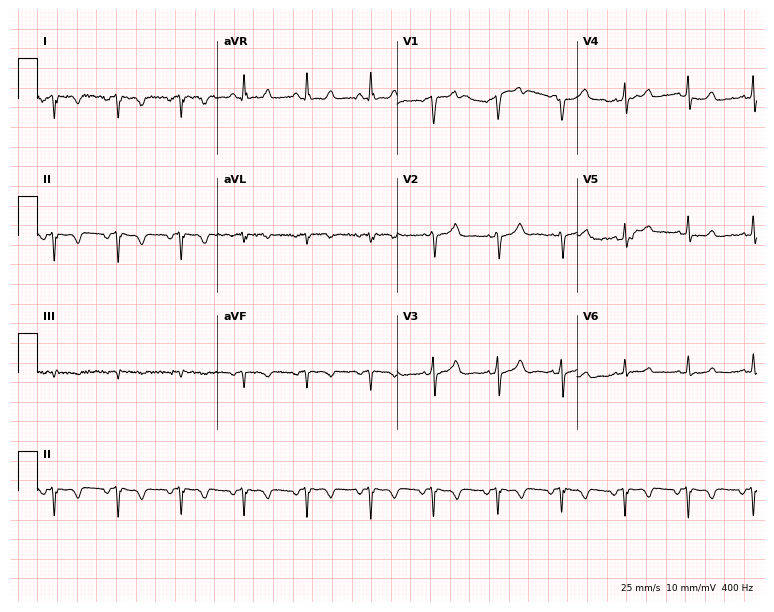
12-lead ECG from an 83-year-old male patient. No first-degree AV block, right bundle branch block (RBBB), left bundle branch block (LBBB), sinus bradycardia, atrial fibrillation (AF) or sinus tachycardia recorded for this tracing.